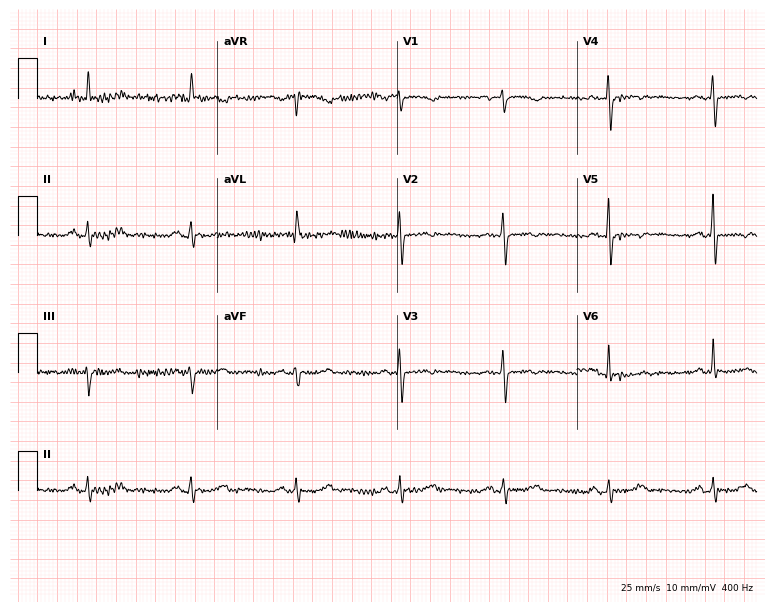
ECG (7.3-second recording at 400 Hz) — a female, 71 years old. Screened for six findings — first-degree AV block, right bundle branch block (RBBB), left bundle branch block (LBBB), sinus bradycardia, atrial fibrillation (AF), sinus tachycardia — none is recorded.